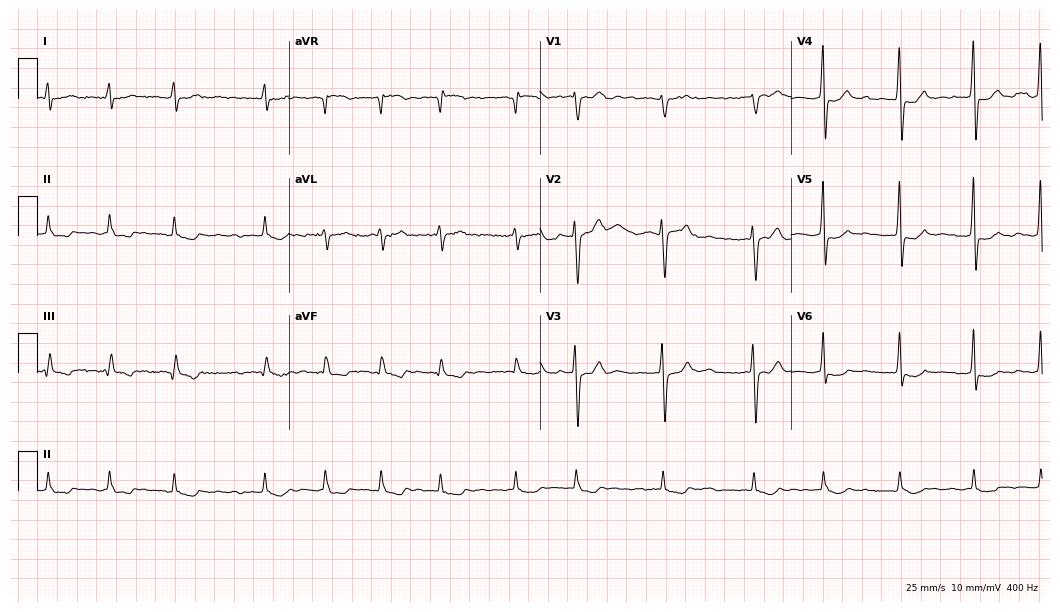
ECG — a female patient, 51 years old. Findings include atrial fibrillation (AF).